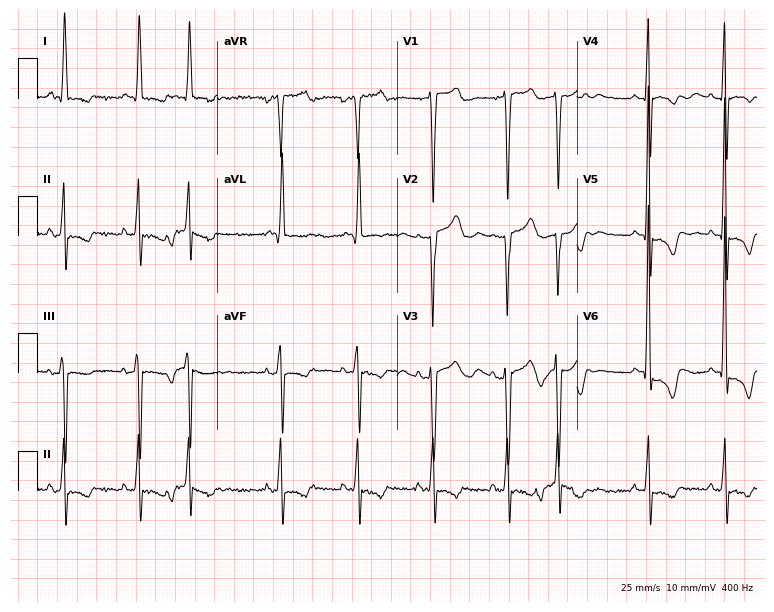
Electrocardiogram (7.3-second recording at 400 Hz), a female patient, 69 years old. Of the six screened findings (first-degree AV block, right bundle branch block, left bundle branch block, sinus bradycardia, atrial fibrillation, sinus tachycardia), none is recorded.